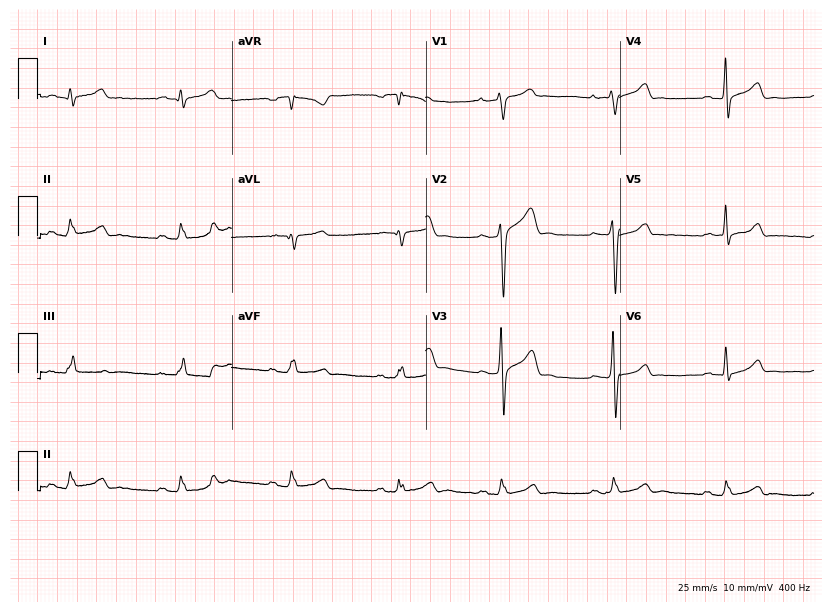
ECG — a male patient, 28 years old. Screened for six findings — first-degree AV block, right bundle branch block (RBBB), left bundle branch block (LBBB), sinus bradycardia, atrial fibrillation (AF), sinus tachycardia — none is recorded.